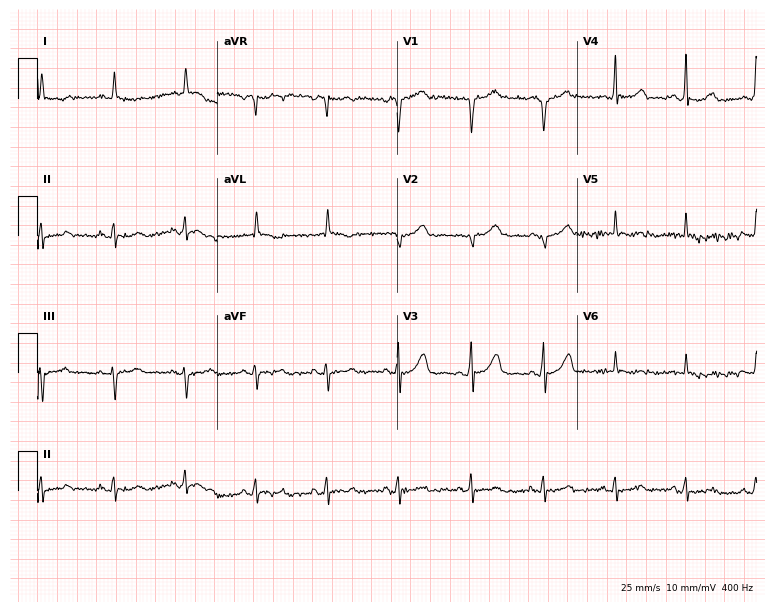
Resting 12-lead electrocardiogram (7.3-second recording at 400 Hz). Patient: a male, 72 years old. None of these six findings is recorded: first-degree AV block, right bundle branch block, left bundle branch block, sinus bradycardia, atrial fibrillation, sinus tachycardia.